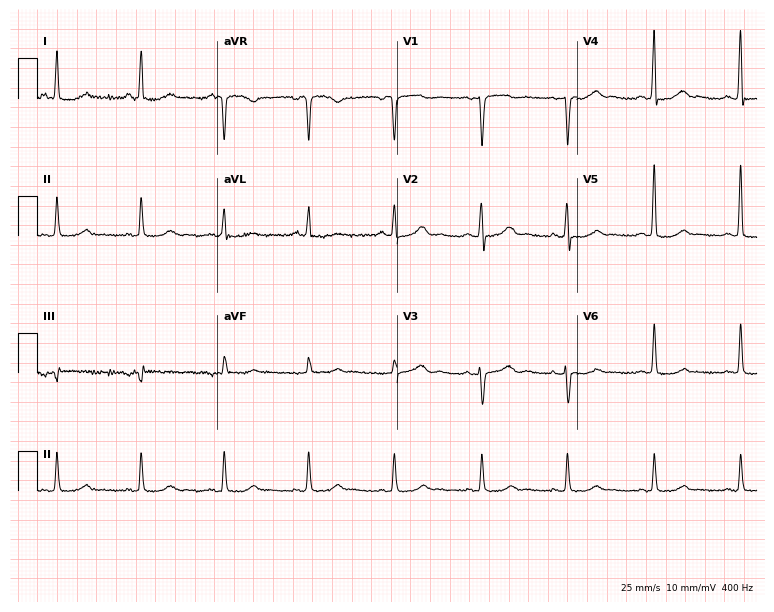
ECG — a female, 72 years old. Screened for six findings — first-degree AV block, right bundle branch block (RBBB), left bundle branch block (LBBB), sinus bradycardia, atrial fibrillation (AF), sinus tachycardia — none is recorded. Other findings, if any, are not listed.